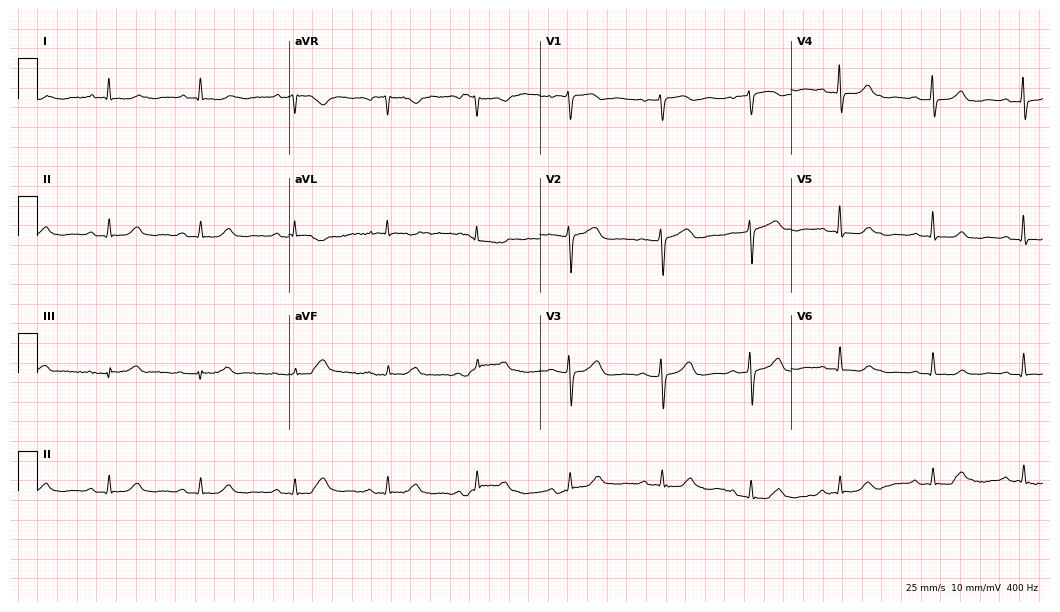
Standard 12-lead ECG recorded from a woman, 67 years old (10.2-second recording at 400 Hz). Read as a normal ECG.